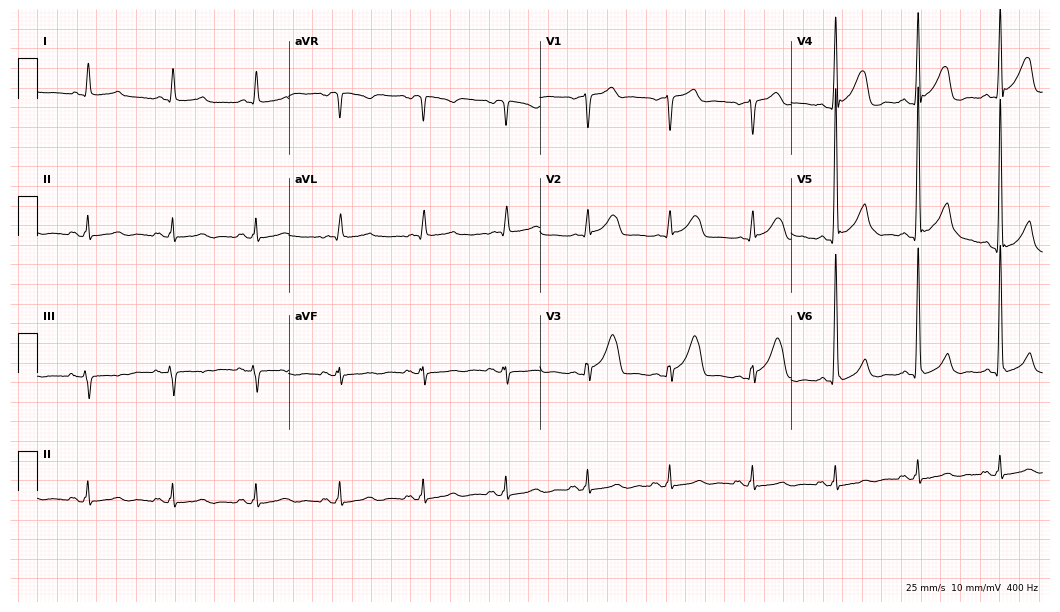
ECG (10.2-second recording at 400 Hz) — an 80-year-old male patient. Screened for six findings — first-degree AV block, right bundle branch block, left bundle branch block, sinus bradycardia, atrial fibrillation, sinus tachycardia — none is recorded.